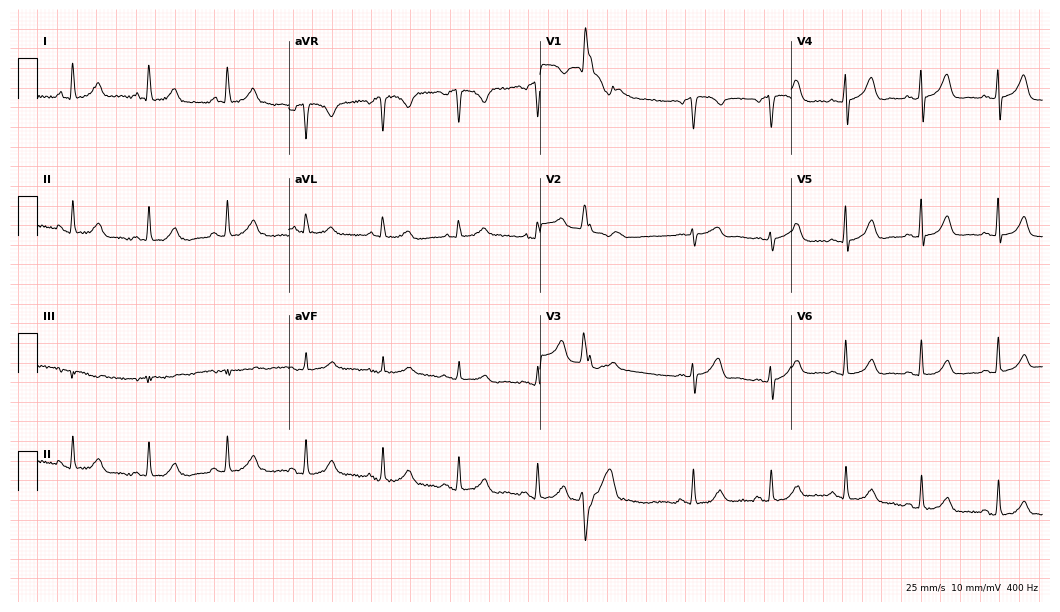
Electrocardiogram (10.2-second recording at 400 Hz), a 68-year-old female. Overall reading on record: normal ECG.